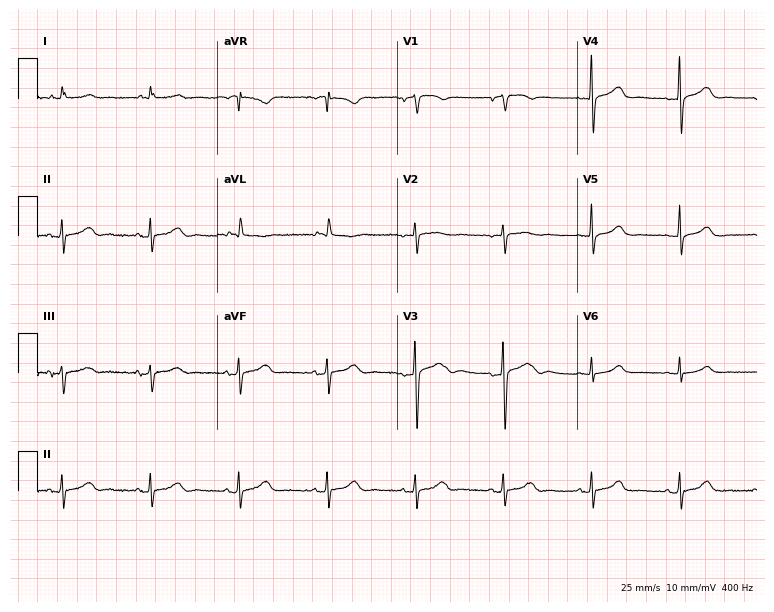
ECG (7.3-second recording at 400 Hz) — a 74-year-old female patient. Labelled as a normal ECG.